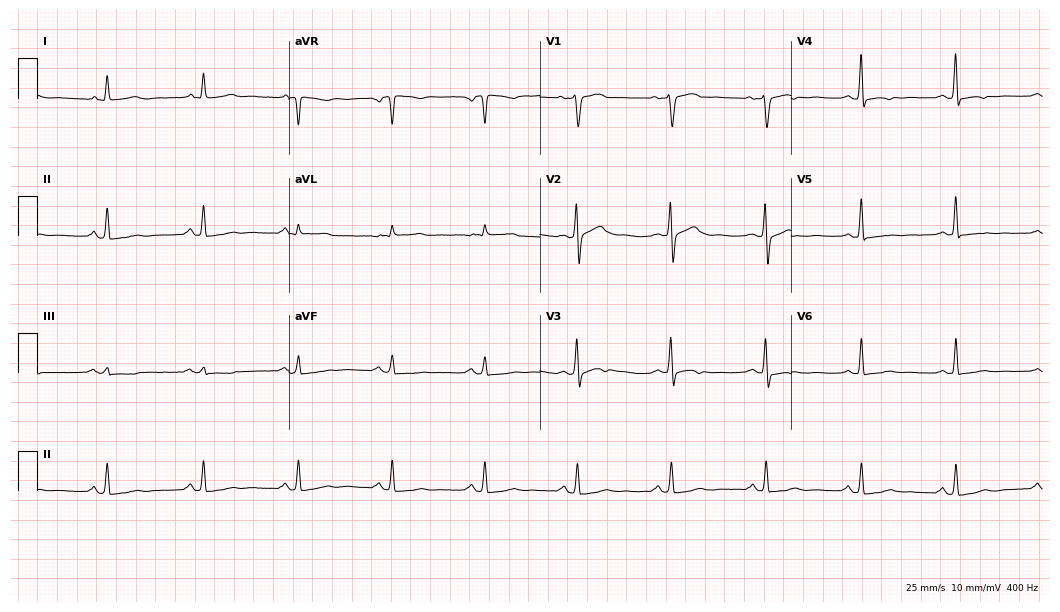
Standard 12-lead ECG recorded from a female patient, 49 years old (10.2-second recording at 400 Hz). None of these six findings is recorded: first-degree AV block, right bundle branch block, left bundle branch block, sinus bradycardia, atrial fibrillation, sinus tachycardia. Findings outside these six are not listed.